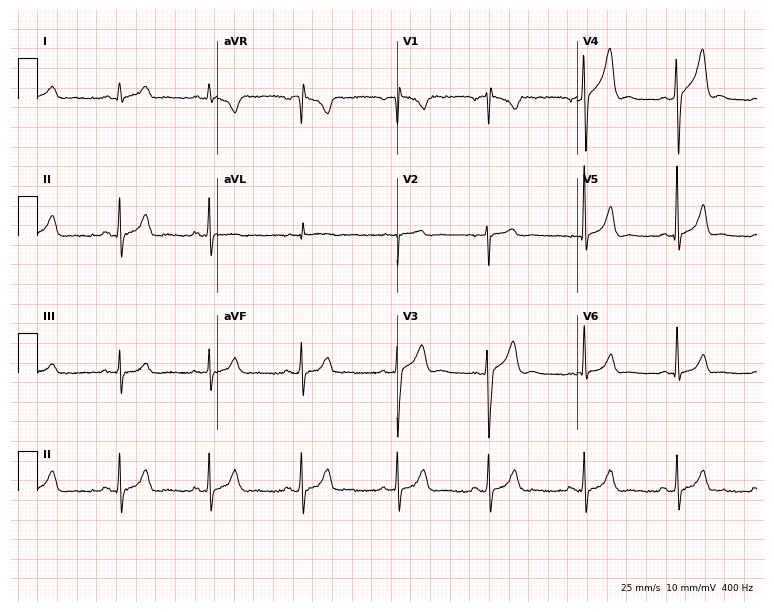
ECG (7.3-second recording at 400 Hz) — a 29-year-old male. Screened for six findings — first-degree AV block, right bundle branch block, left bundle branch block, sinus bradycardia, atrial fibrillation, sinus tachycardia — none is recorded.